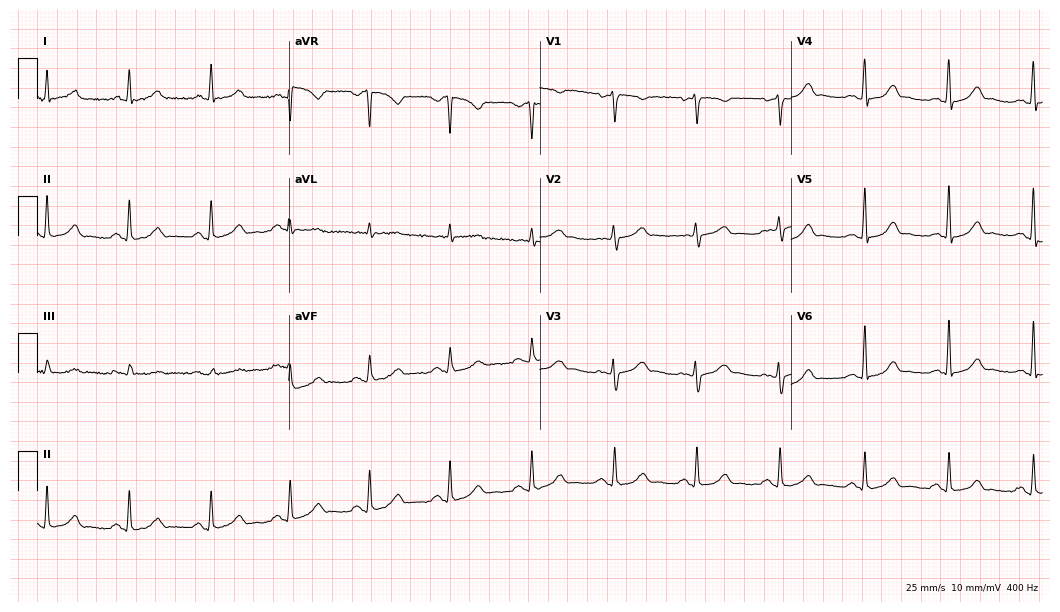
Electrocardiogram (10.2-second recording at 400 Hz), a 59-year-old female. Overall reading on record: normal ECG.